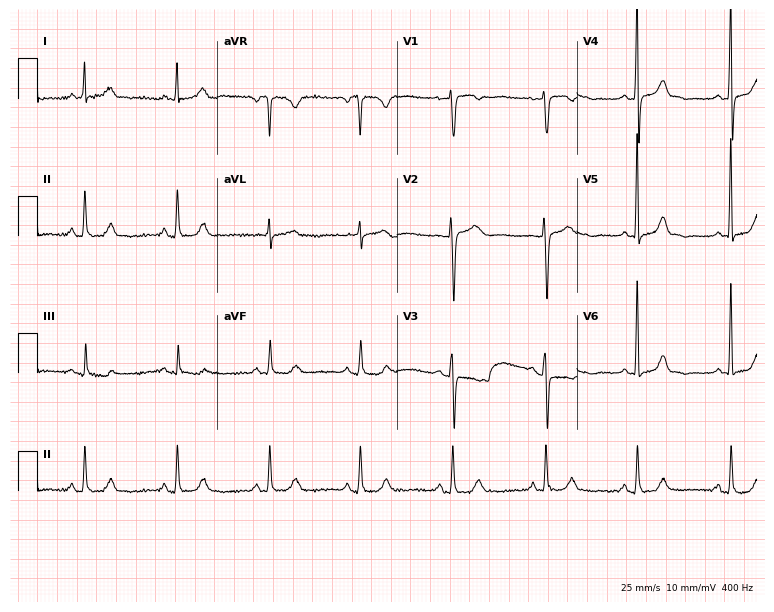
Electrocardiogram (7.3-second recording at 400 Hz), a woman, 67 years old. Overall reading on record: normal ECG.